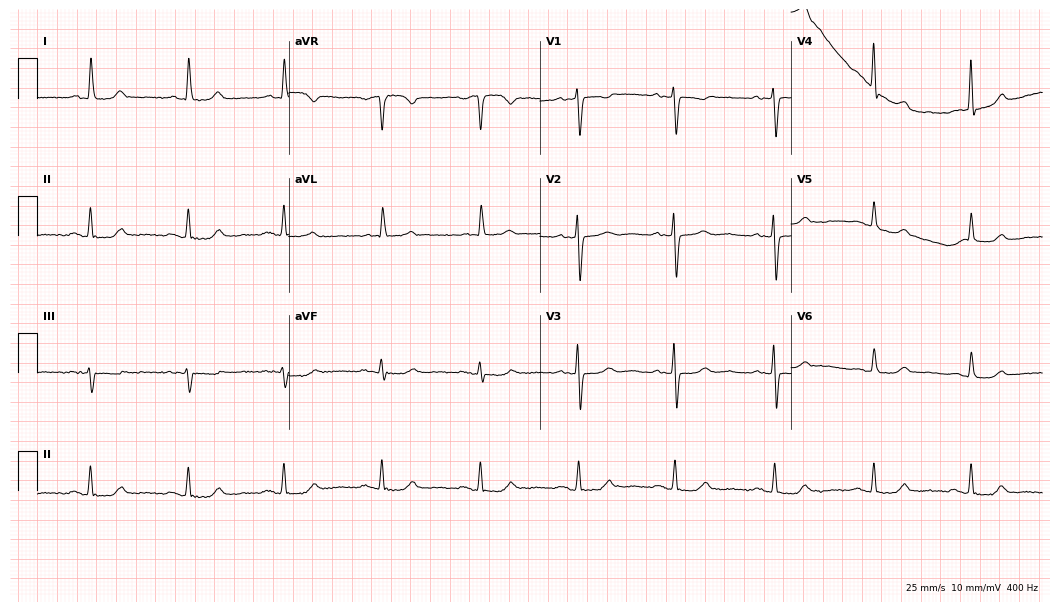
ECG (10.2-second recording at 400 Hz) — a woman, 57 years old. Labelled as a normal ECG.